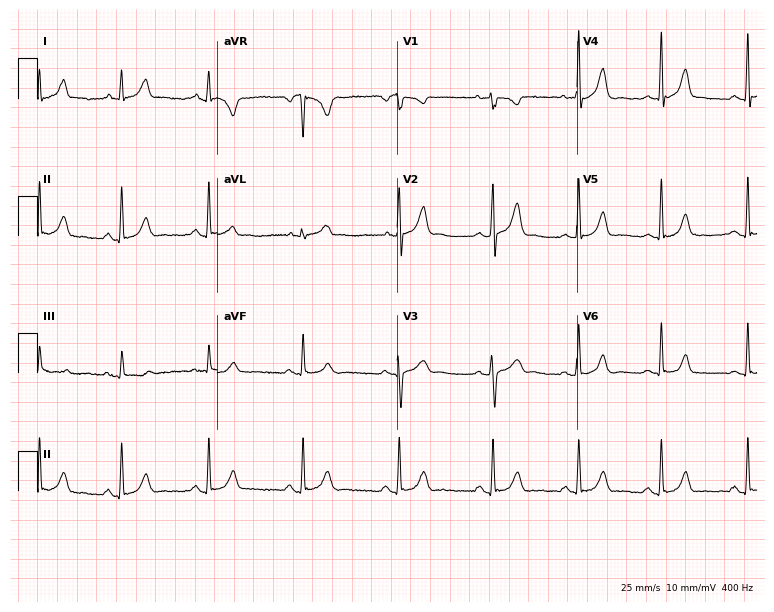
12-lead ECG from a female, 27 years old (7.3-second recording at 400 Hz). No first-degree AV block, right bundle branch block (RBBB), left bundle branch block (LBBB), sinus bradycardia, atrial fibrillation (AF) or sinus tachycardia recorded for this tracing.